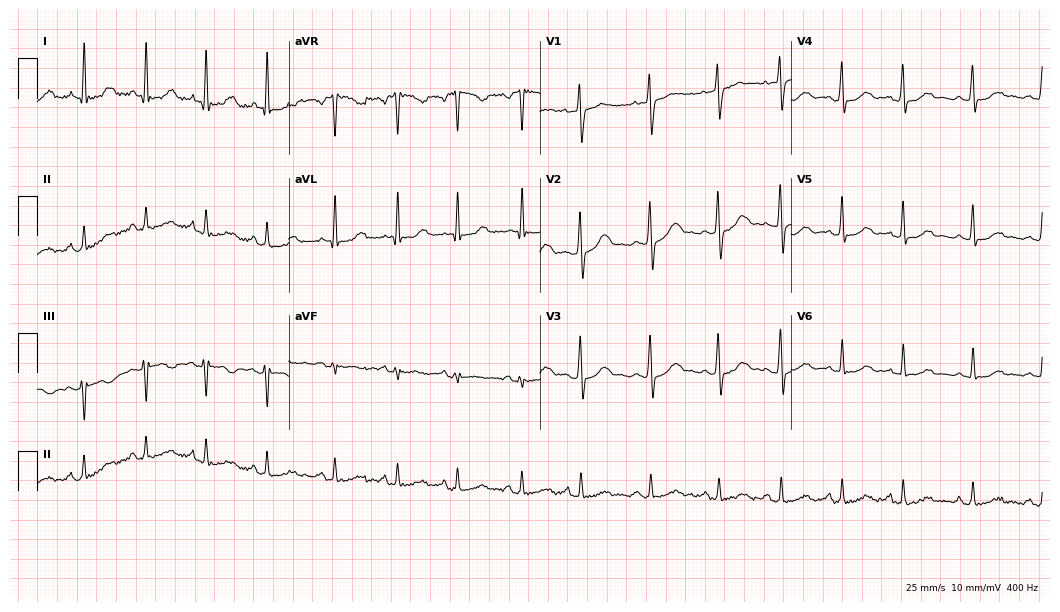
Electrocardiogram (10.2-second recording at 400 Hz), a female patient, 40 years old. Of the six screened findings (first-degree AV block, right bundle branch block, left bundle branch block, sinus bradycardia, atrial fibrillation, sinus tachycardia), none is recorded. Findings outside these six are not listed.